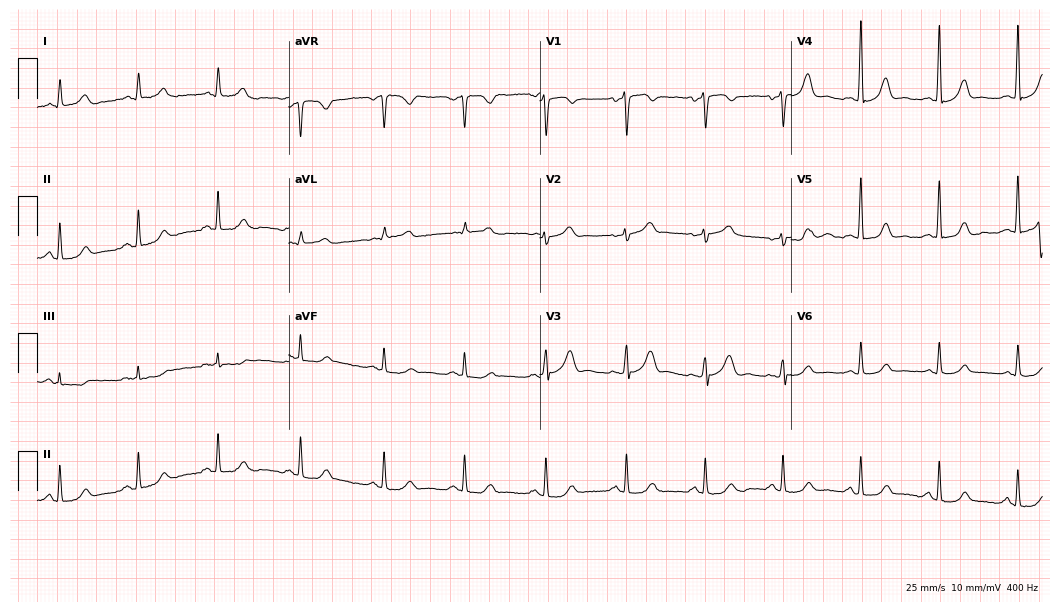
ECG — a 57-year-old female. Labelled as a normal ECG.